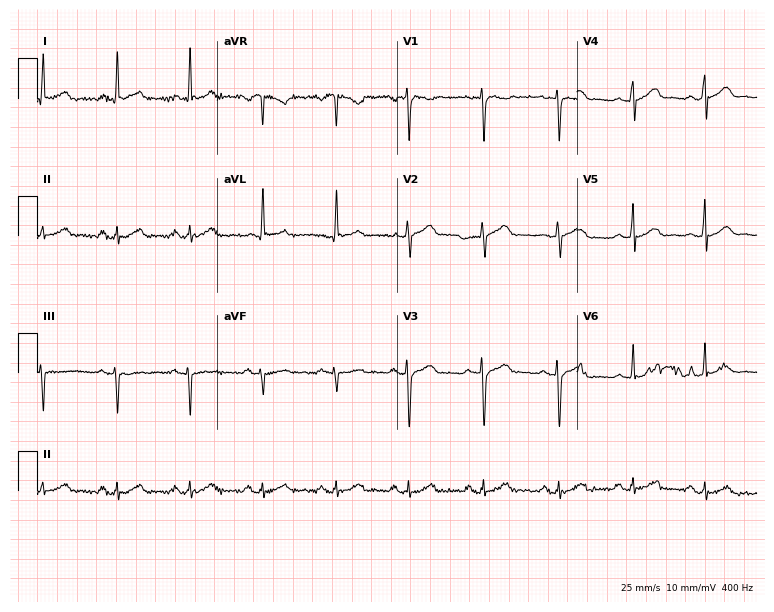
Standard 12-lead ECG recorded from a 31-year-old woman (7.3-second recording at 400 Hz). Read as a normal ECG.